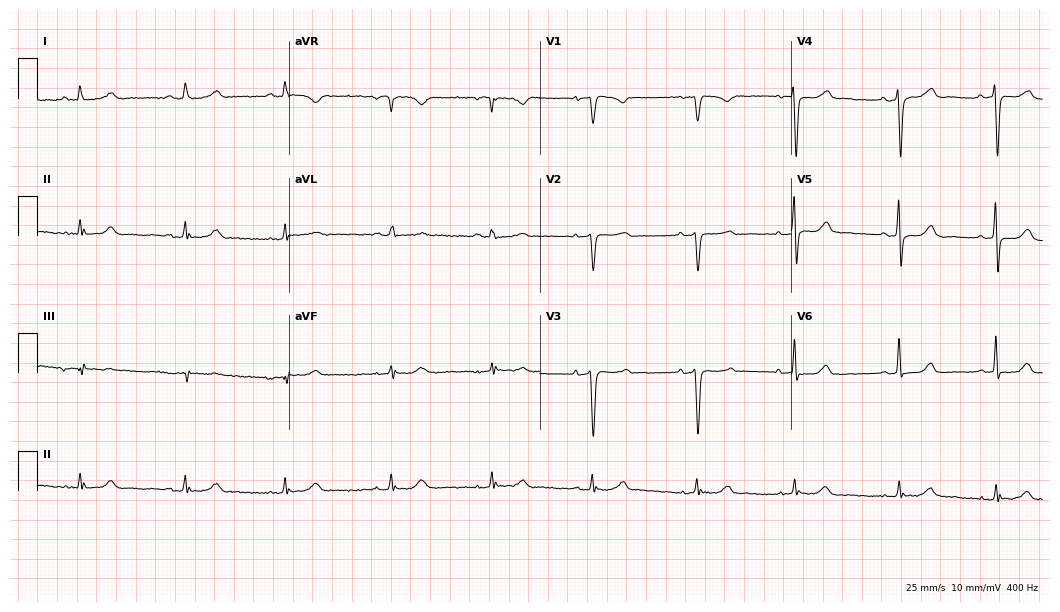
Resting 12-lead electrocardiogram (10.2-second recording at 400 Hz). Patient: a female, 65 years old. Read as a normal ECG.